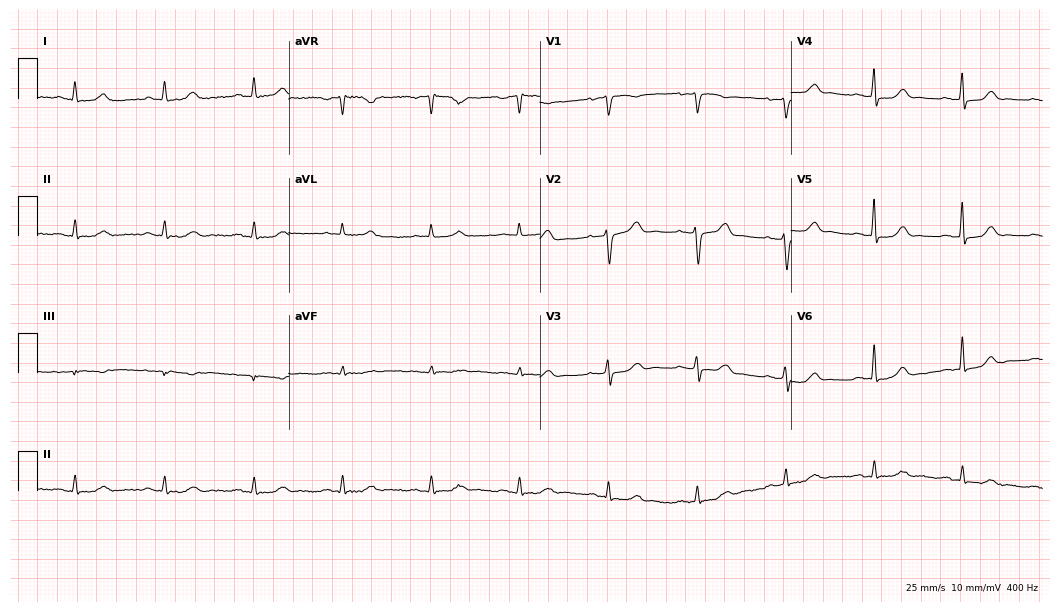
Electrocardiogram (10.2-second recording at 400 Hz), a female patient, 65 years old. Of the six screened findings (first-degree AV block, right bundle branch block, left bundle branch block, sinus bradycardia, atrial fibrillation, sinus tachycardia), none is recorded. Other findings, if any, are not listed.